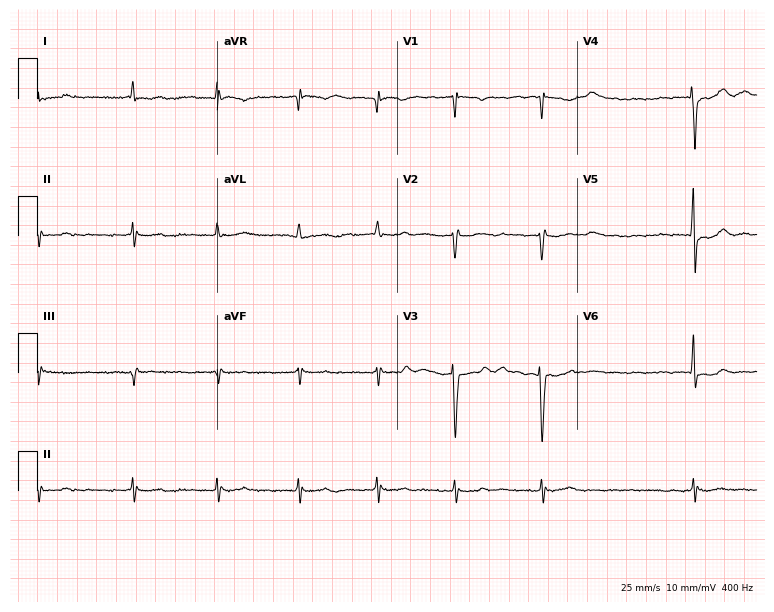
Standard 12-lead ECG recorded from a female patient, 81 years old (7.3-second recording at 400 Hz). None of these six findings is recorded: first-degree AV block, right bundle branch block (RBBB), left bundle branch block (LBBB), sinus bradycardia, atrial fibrillation (AF), sinus tachycardia. Other findings, if any, are not listed.